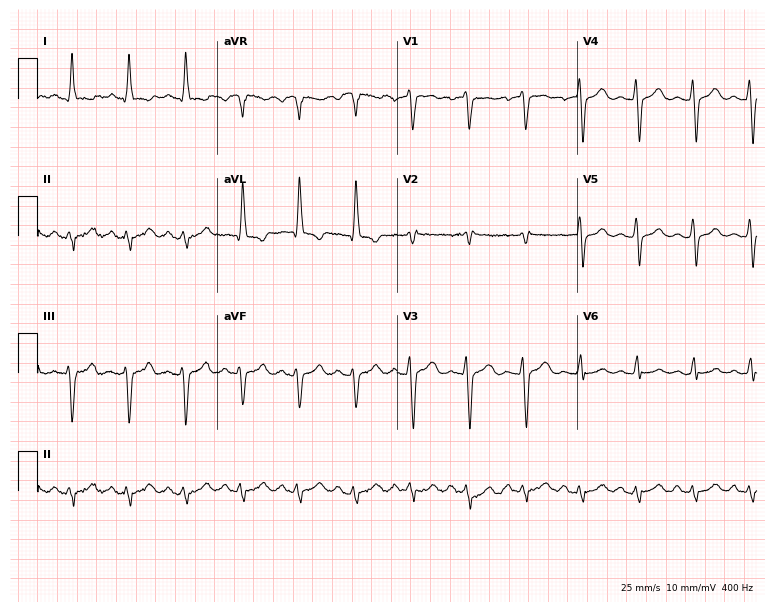
Resting 12-lead electrocardiogram (7.3-second recording at 400 Hz). Patient: a woman, 53 years old. None of these six findings is recorded: first-degree AV block, right bundle branch block, left bundle branch block, sinus bradycardia, atrial fibrillation, sinus tachycardia. Only these six findings were labelled.